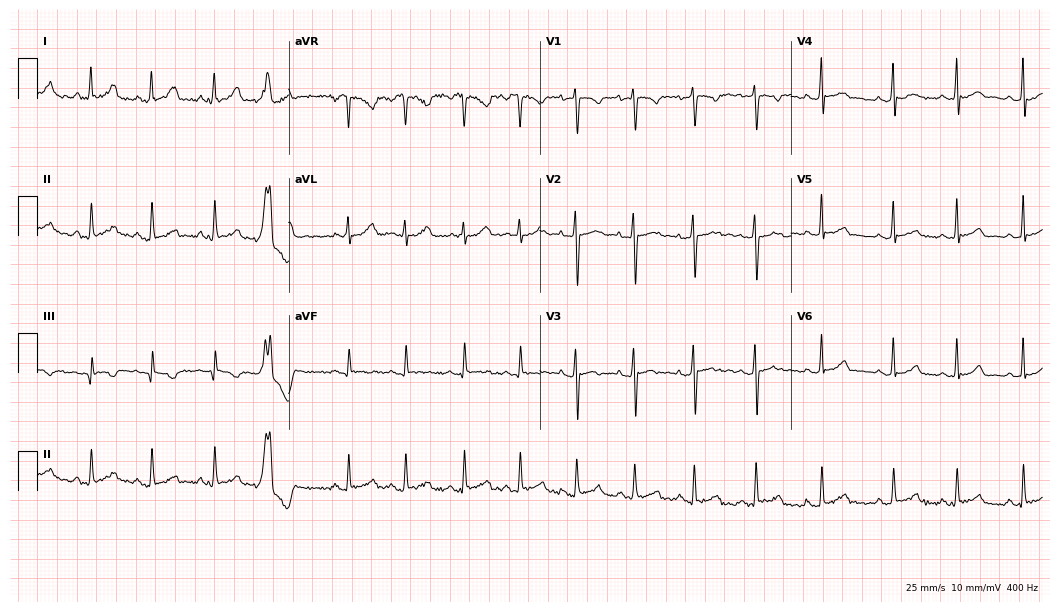
Electrocardiogram (10.2-second recording at 400 Hz), a woman, 18 years old. Of the six screened findings (first-degree AV block, right bundle branch block (RBBB), left bundle branch block (LBBB), sinus bradycardia, atrial fibrillation (AF), sinus tachycardia), none is recorded. Findings outside these six are not listed.